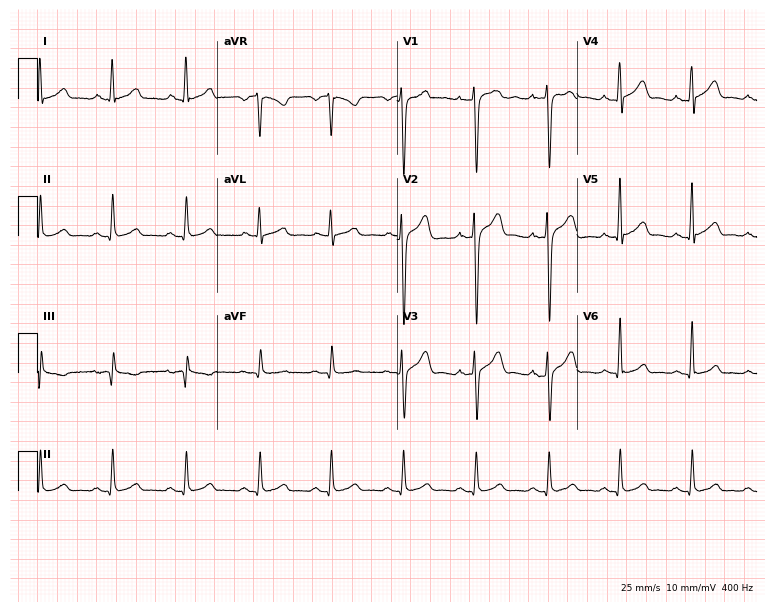
12-lead ECG from a male, 33 years old. Recorded interpretation: within normal limits.